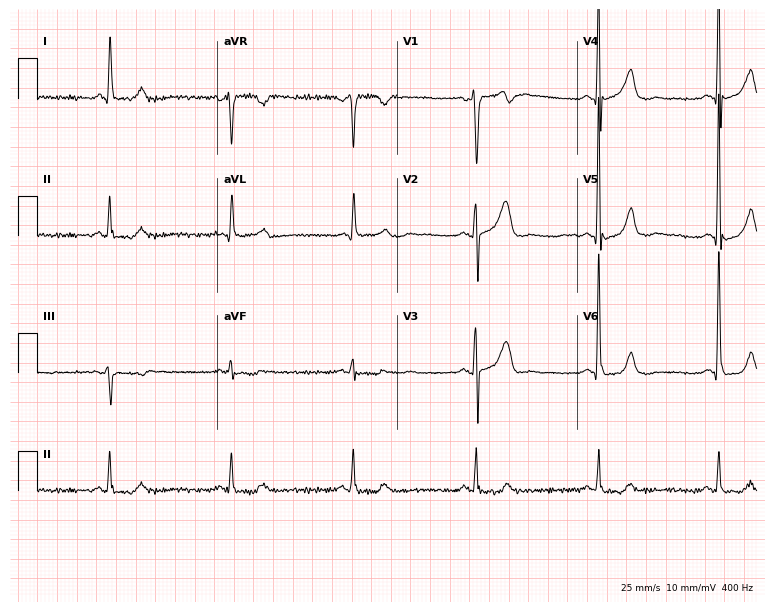
Resting 12-lead electrocardiogram (7.3-second recording at 400 Hz). Patient: a 59-year-old male. The tracing shows sinus bradycardia (a sinus rate of 50 beats per minute or less).